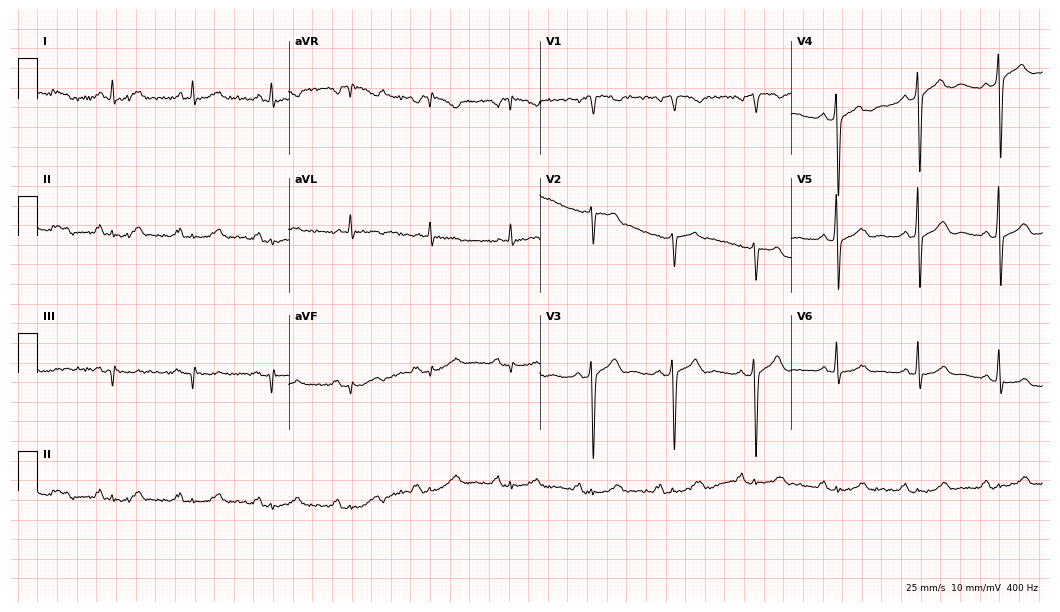
12-lead ECG (10.2-second recording at 400 Hz) from a man, 62 years old. Screened for six findings — first-degree AV block, right bundle branch block (RBBB), left bundle branch block (LBBB), sinus bradycardia, atrial fibrillation (AF), sinus tachycardia — none is recorded.